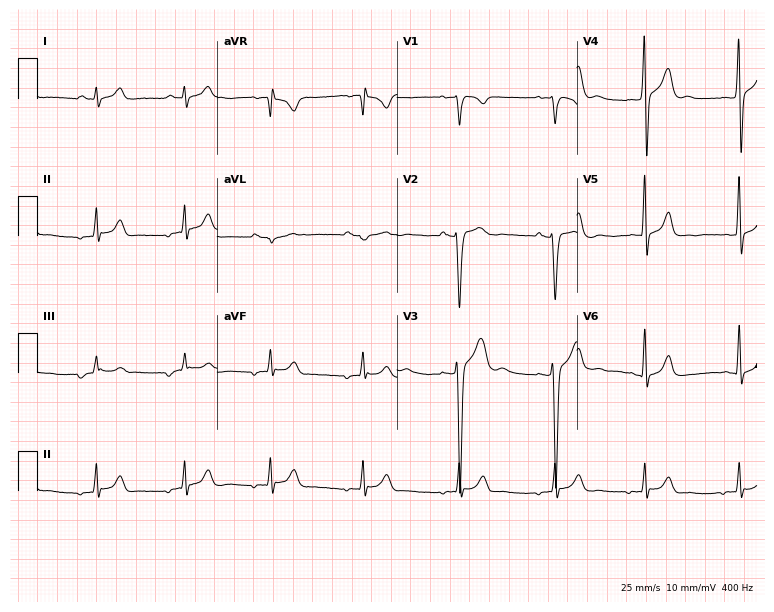
Standard 12-lead ECG recorded from a 22-year-old man (7.3-second recording at 400 Hz). None of these six findings is recorded: first-degree AV block, right bundle branch block (RBBB), left bundle branch block (LBBB), sinus bradycardia, atrial fibrillation (AF), sinus tachycardia.